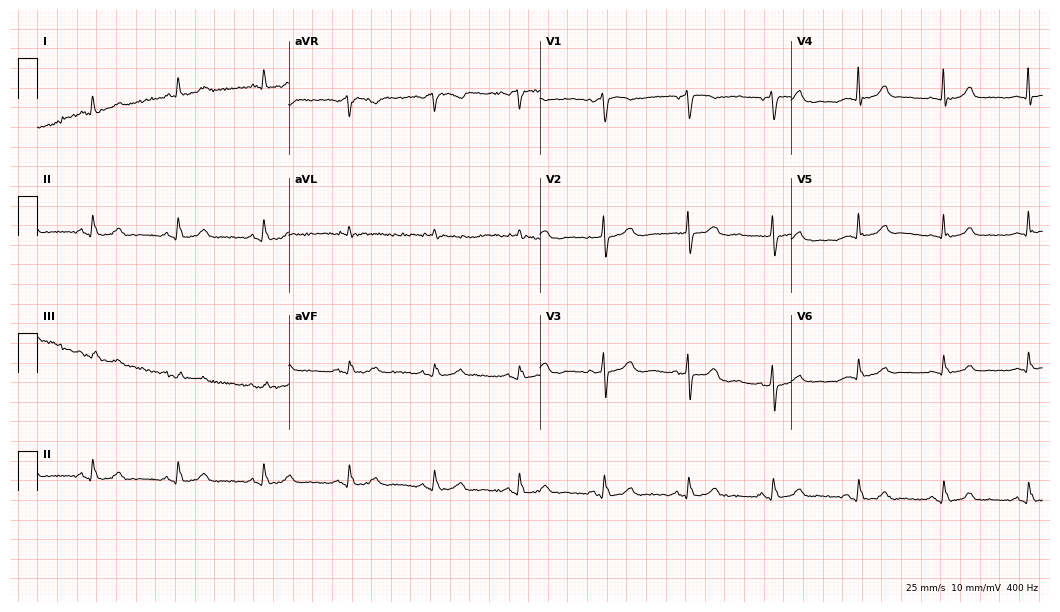
12-lead ECG from a female, 69 years old. Recorded interpretation: within normal limits.